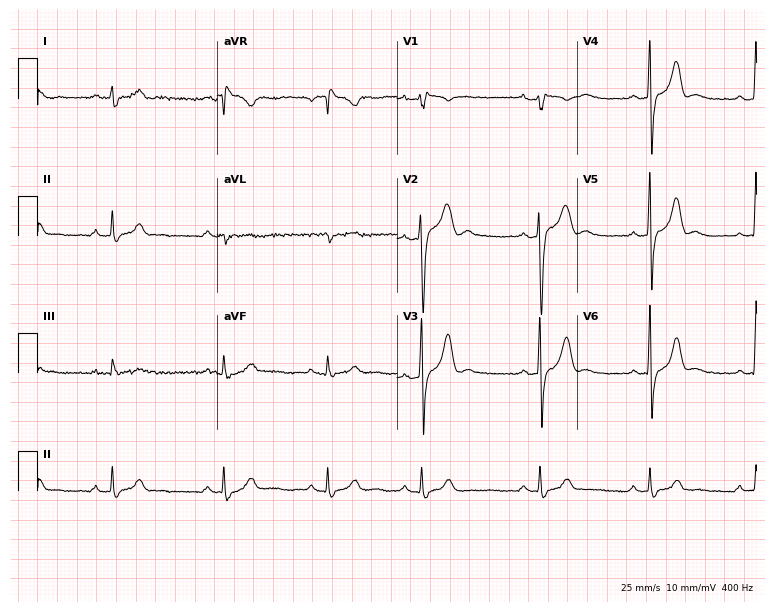
12-lead ECG (7.3-second recording at 400 Hz) from a 21-year-old male. Screened for six findings — first-degree AV block, right bundle branch block (RBBB), left bundle branch block (LBBB), sinus bradycardia, atrial fibrillation (AF), sinus tachycardia — none is recorded.